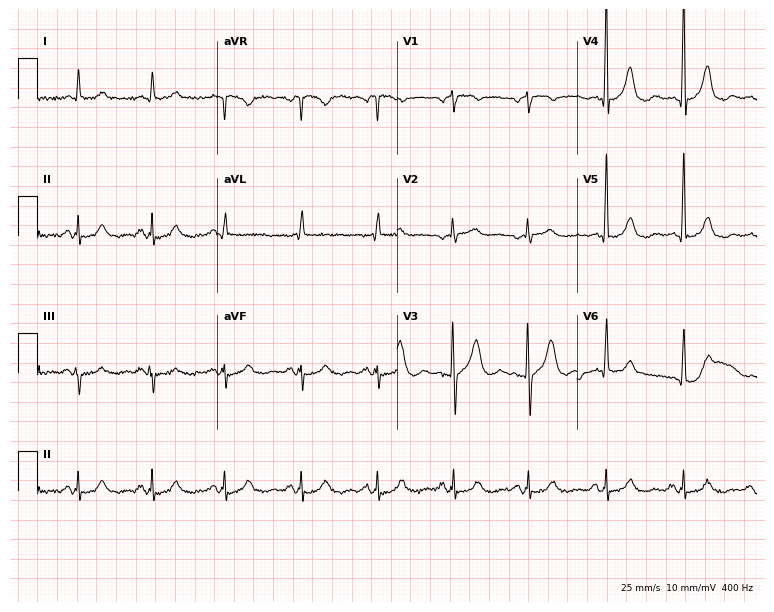
Electrocardiogram (7.3-second recording at 400 Hz), an 80-year-old woman. Of the six screened findings (first-degree AV block, right bundle branch block, left bundle branch block, sinus bradycardia, atrial fibrillation, sinus tachycardia), none is recorded.